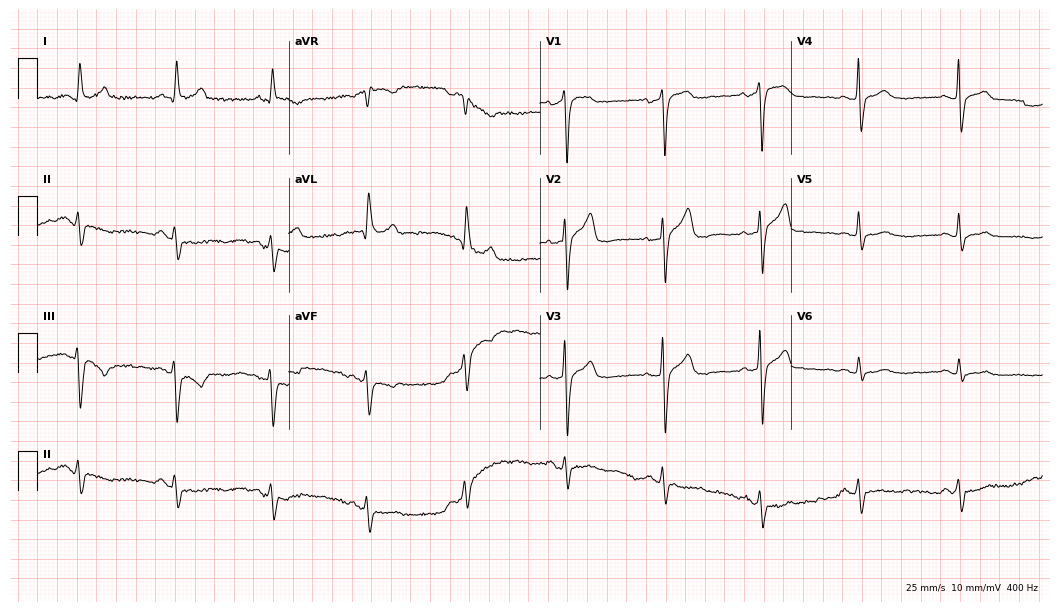
Standard 12-lead ECG recorded from a 78-year-old man (10.2-second recording at 400 Hz). None of these six findings is recorded: first-degree AV block, right bundle branch block (RBBB), left bundle branch block (LBBB), sinus bradycardia, atrial fibrillation (AF), sinus tachycardia. Only these six findings were labelled.